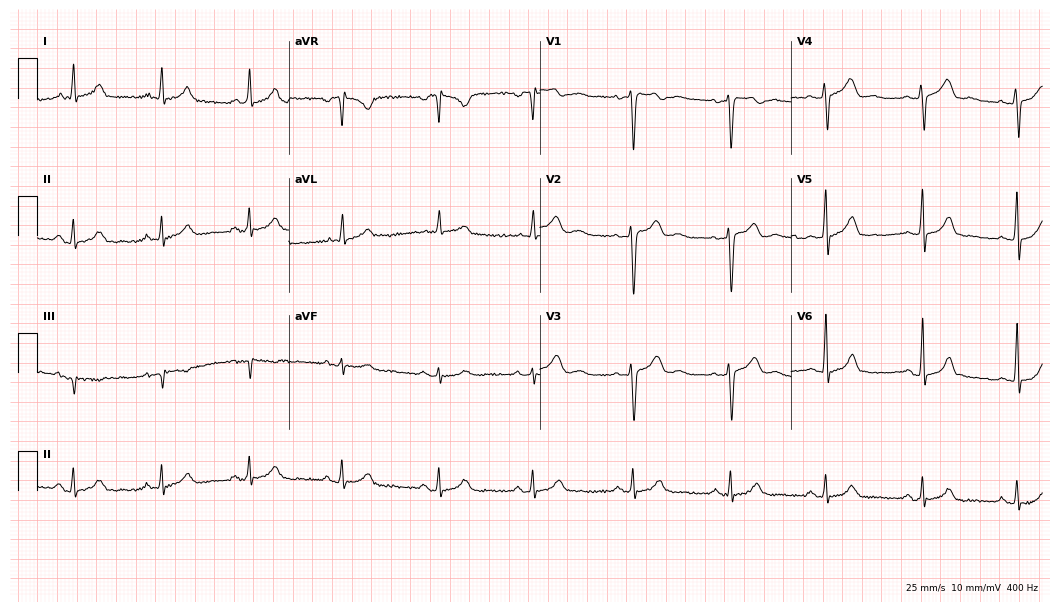
12-lead ECG from a woman, 39 years old (10.2-second recording at 400 Hz). Recorded interpretation: within normal limits.